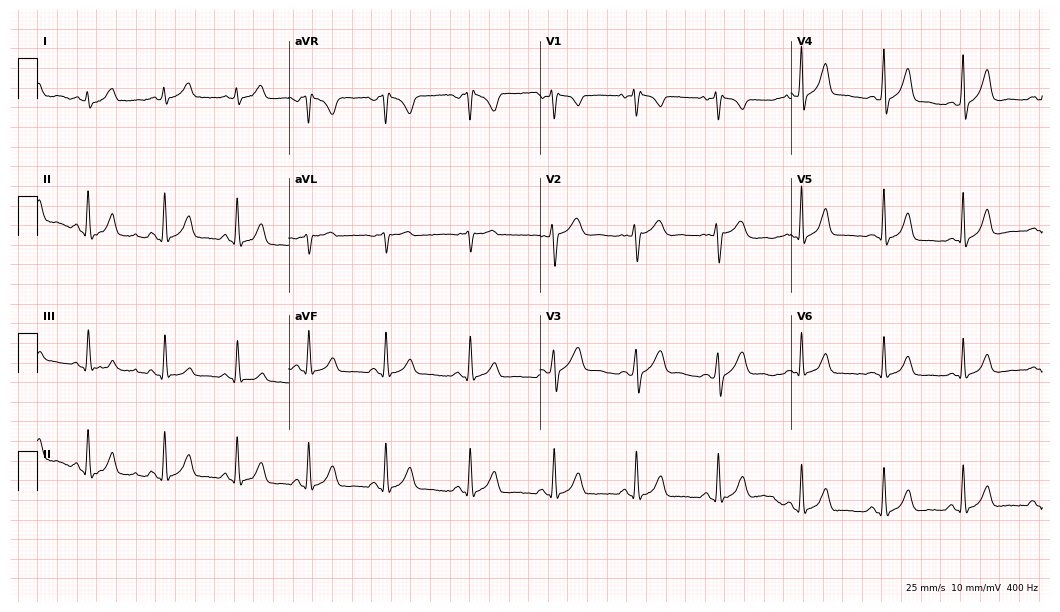
Standard 12-lead ECG recorded from a female patient, 26 years old. Read as a normal ECG.